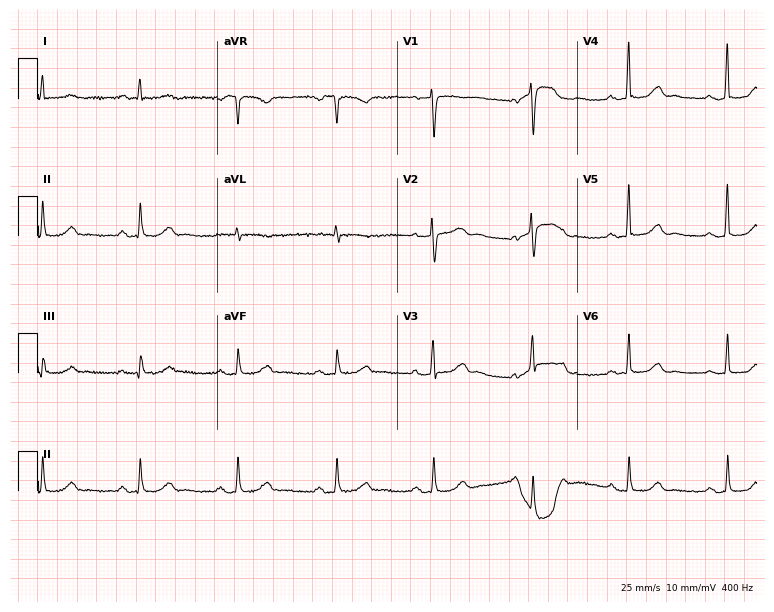
Resting 12-lead electrocardiogram (7.3-second recording at 400 Hz). Patient: a 62-year-old woman. Read as a normal ECG.